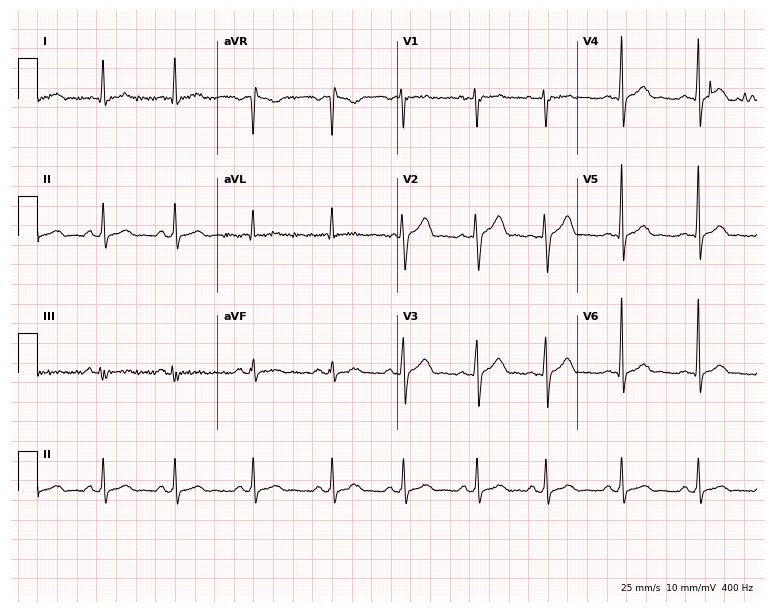
ECG (7.3-second recording at 400 Hz) — a male, 42 years old. Screened for six findings — first-degree AV block, right bundle branch block, left bundle branch block, sinus bradycardia, atrial fibrillation, sinus tachycardia — none is recorded. Only these six findings were labelled.